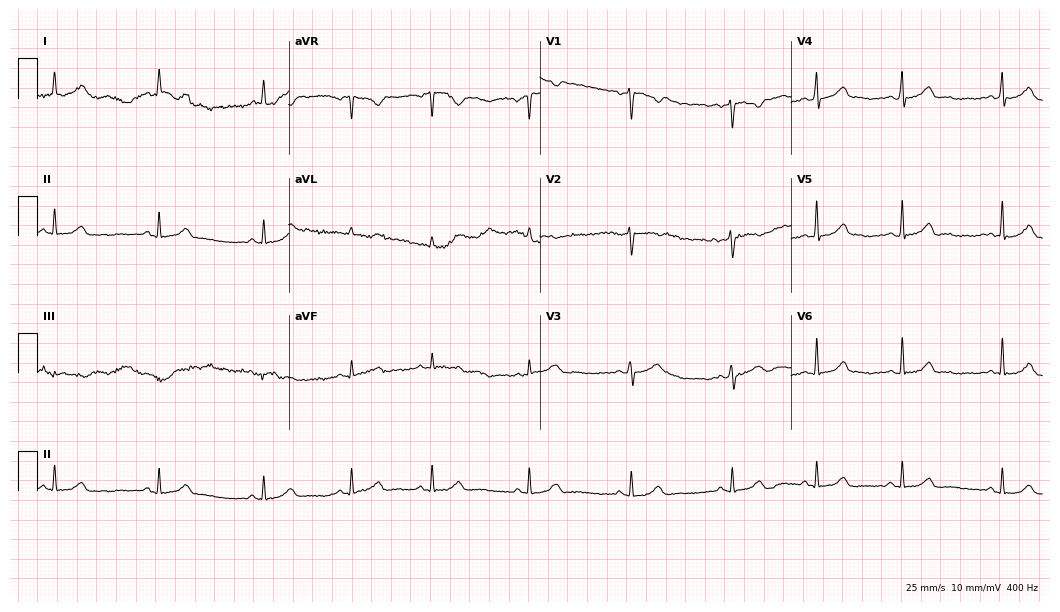
12-lead ECG from a woman, 37 years old. Recorded interpretation: within normal limits.